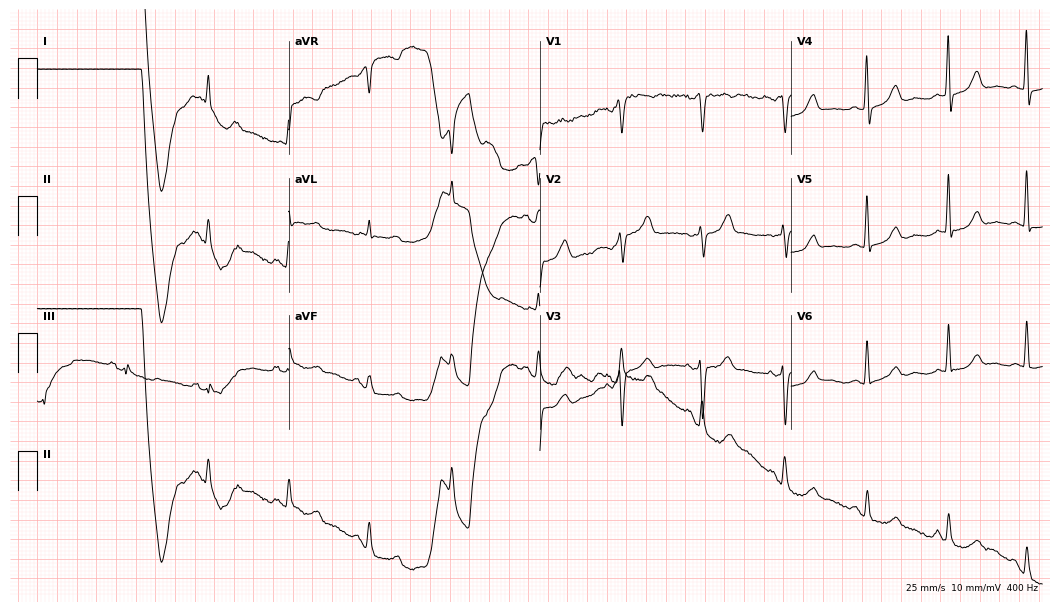
Resting 12-lead electrocardiogram (10.2-second recording at 400 Hz). Patient: a 63-year-old female. None of these six findings is recorded: first-degree AV block, right bundle branch block (RBBB), left bundle branch block (LBBB), sinus bradycardia, atrial fibrillation (AF), sinus tachycardia.